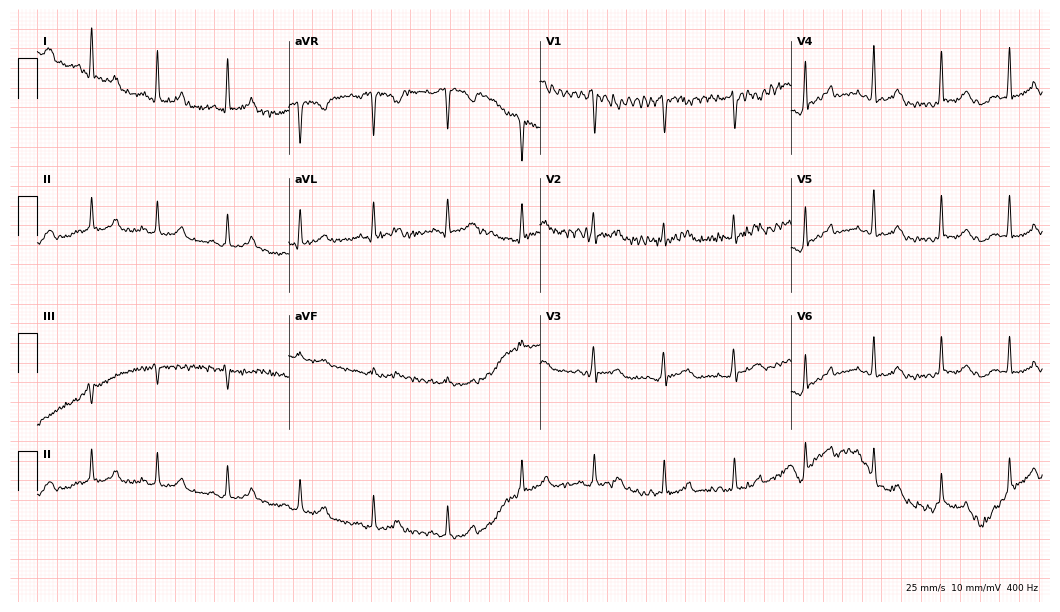
12-lead ECG from a 21-year-old female (10.2-second recording at 400 Hz). Recorded interpretation: within normal limits.